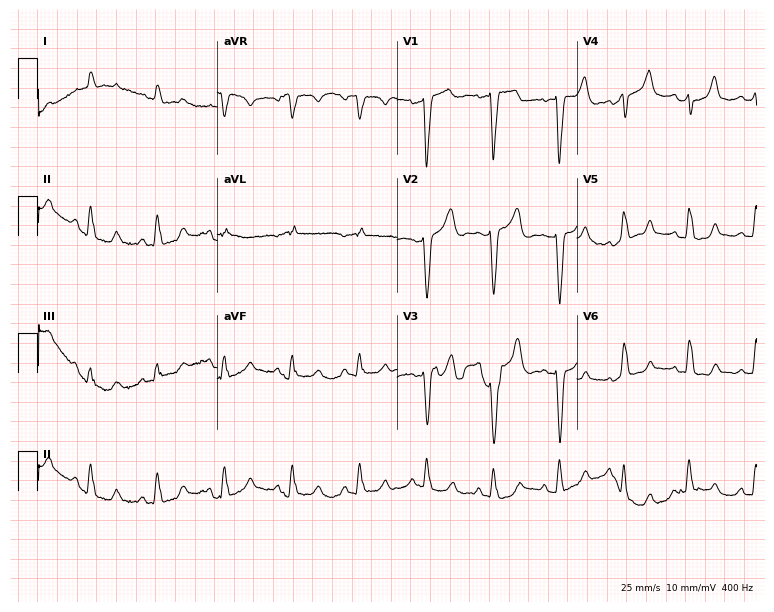
Electrocardiogram, a 68-year-old woman. Of the six screened findings (first-degree AV block, right bundle branch block (RBBB), left bundle branch block (LBBB), sinus bradycardia, atrial fibrillation (AF), sinus tachycardia), none is recorded. Findings outside these six are not listed.